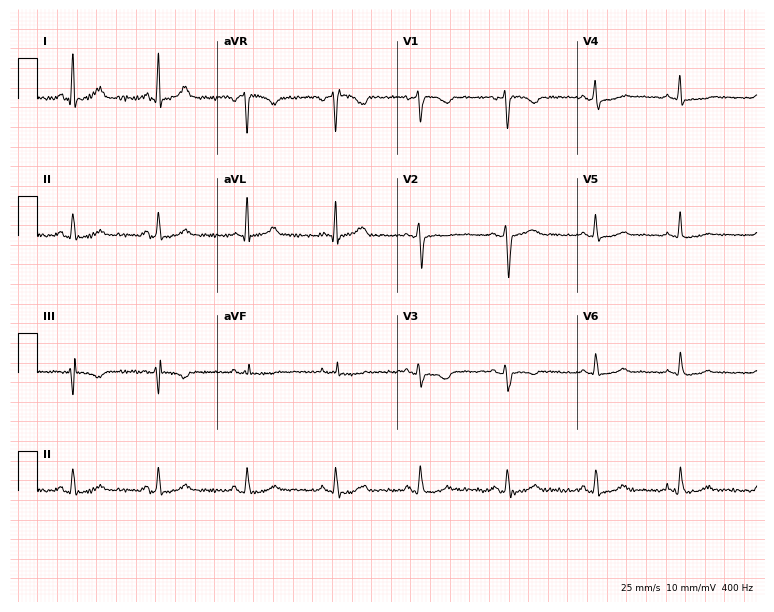
ECG — a female, 42 years old. Labelled as a normal ECG.